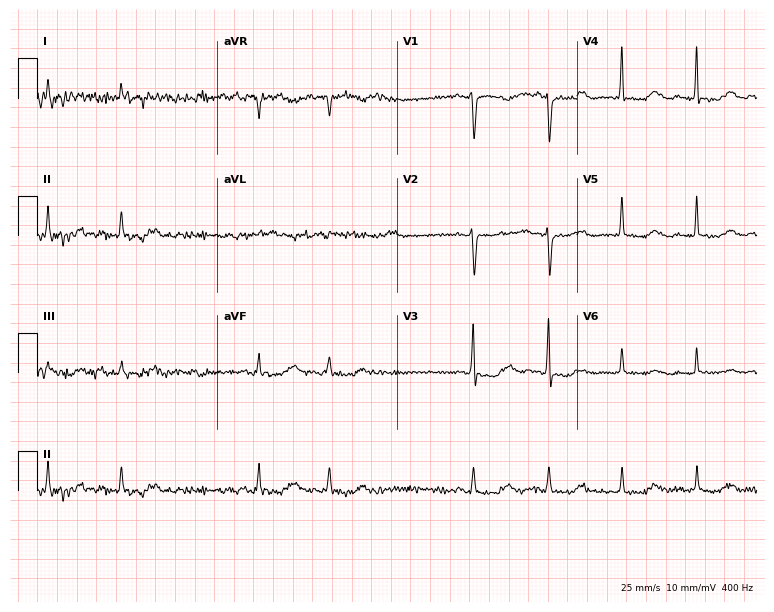
ECG (7.3-second recording at 400 Hz) — an 84-year-old female patient. Screened for six findings — first-degree AV block, right bundle branch block (RBBB), left bundle branch block (LBBB), sinus bradycardia, atrial fibrillation (AF), sinus tachycardia — none is recorded.